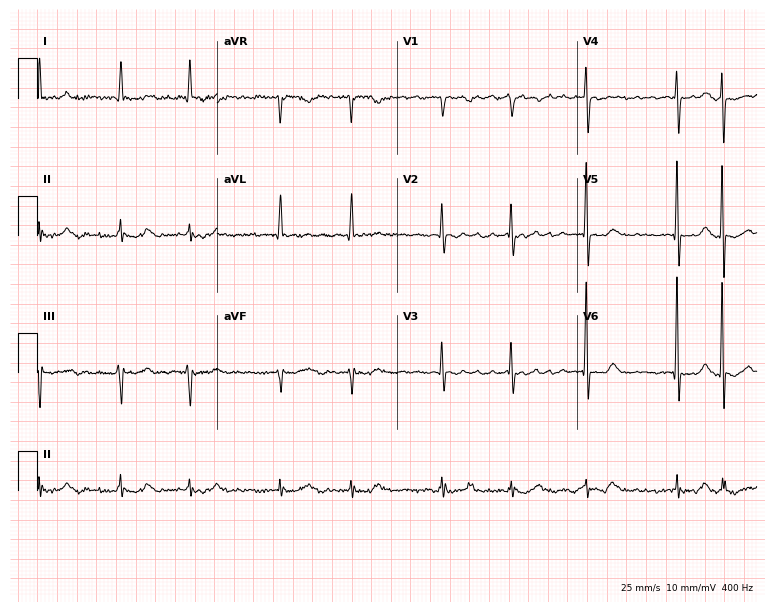
Resting 12-lead electrocardiogram (7.3-second recording at 400 Hz). Patient: a woman, 68 years old. The tracing shows atrial fibrillation.